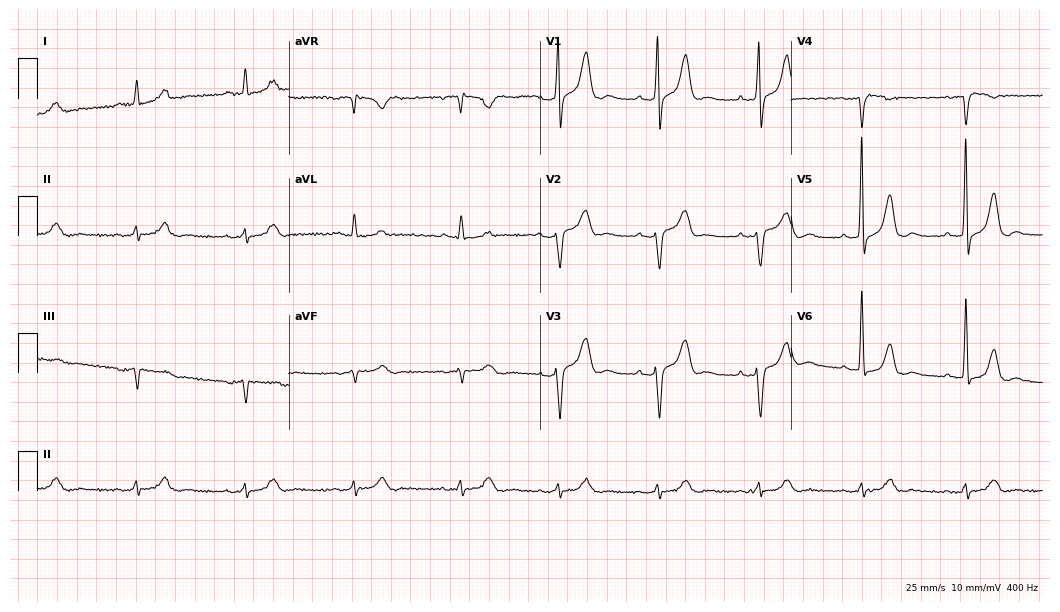
Electrocardiogram (10.2-second recording at 400 Hz), an 80-year-old man. Of the six screened findings (first-degree AV block, right bundle branch block (RBBB), left bundle branch block (LBBB), sinus bradycardia, atrial fibrillation (AF), sinus tachycardia), none is recorded. Only these six findings were labelled.